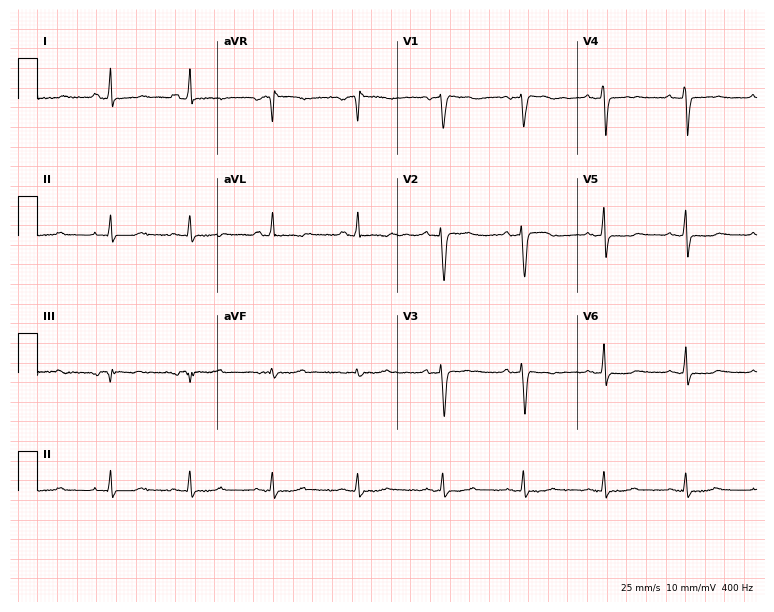
ECG (7.3-second recording at 400 Hz) — a 49-year-old woman. Screened for six findings — first-degree AV block, right bundle branch block, left bundle branch block, sinus bradycardia, atrial fibrillation, sinus tachycardia — none is recorded.